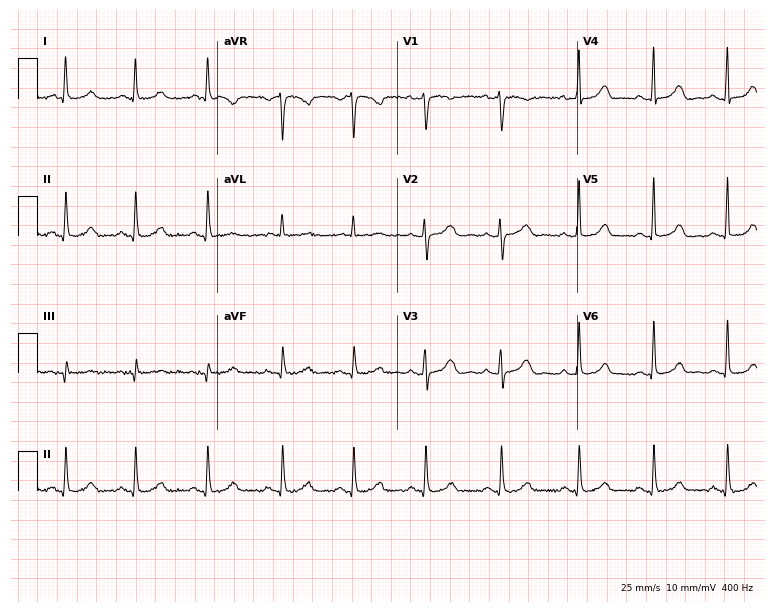
Standard 12-lead ECG recorded from a 35-year-old female patient (7.3-second recording at 400 Hz). Read as a normal ECG.